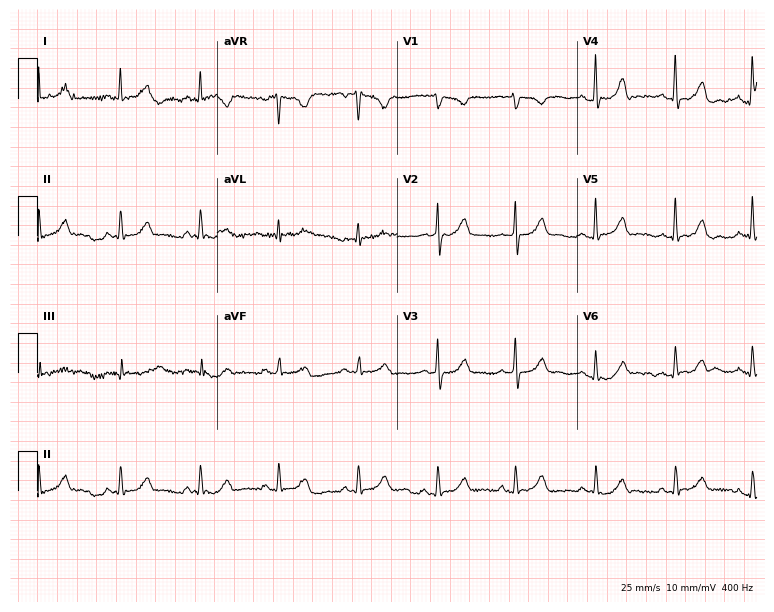
12-lead ECG from a female patient, 43 years old (7.3-second recording at 400 Hz). Recorded interpretation: within normal limits.